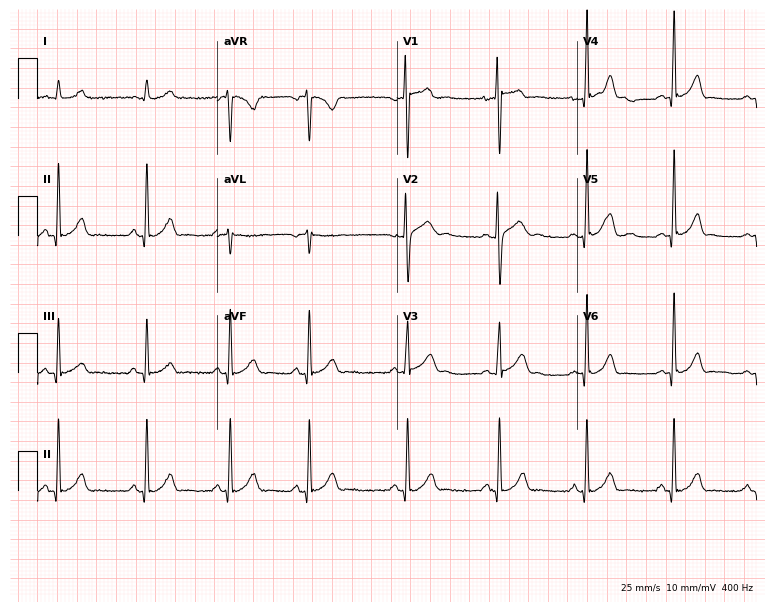
12-lead ECG (7.3-second recording at 400 Hz) from a 22-year-old female. Labelled as a normal ECG.